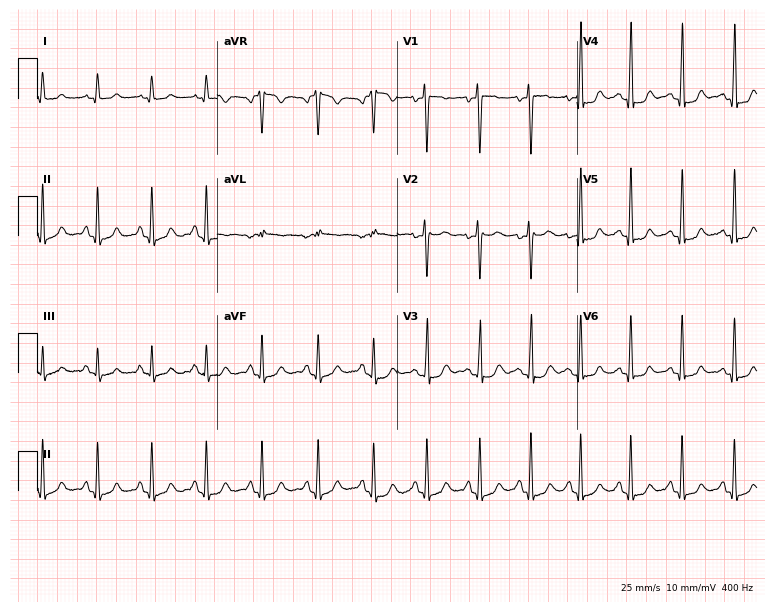
12-lead ECG (7.3-second recording at 400 Hz) from a 26-year-old female patient. Findings include sinus tachycardia (a sinus rate of 100 beats per minute or more).